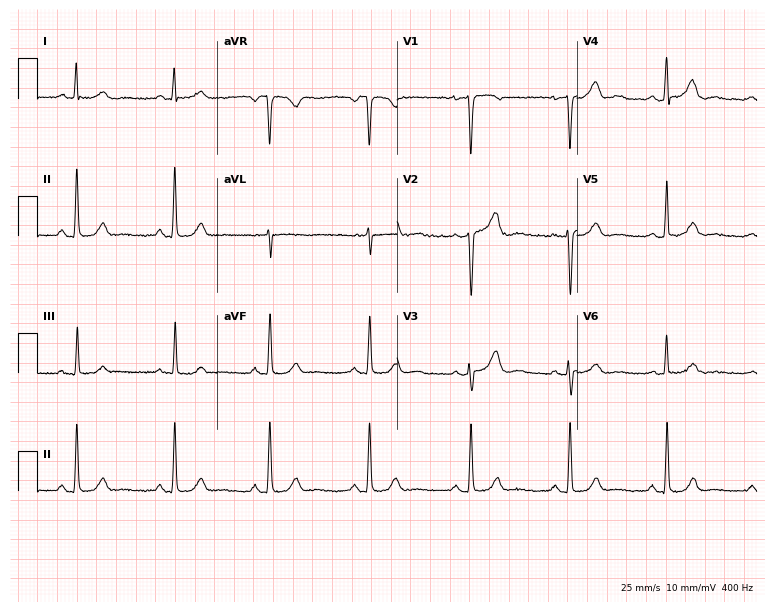
12-lead ECG from a 40-year-old female patient (7.3-second recording at 400 Hz). Recorded interpretation: within normal limits.